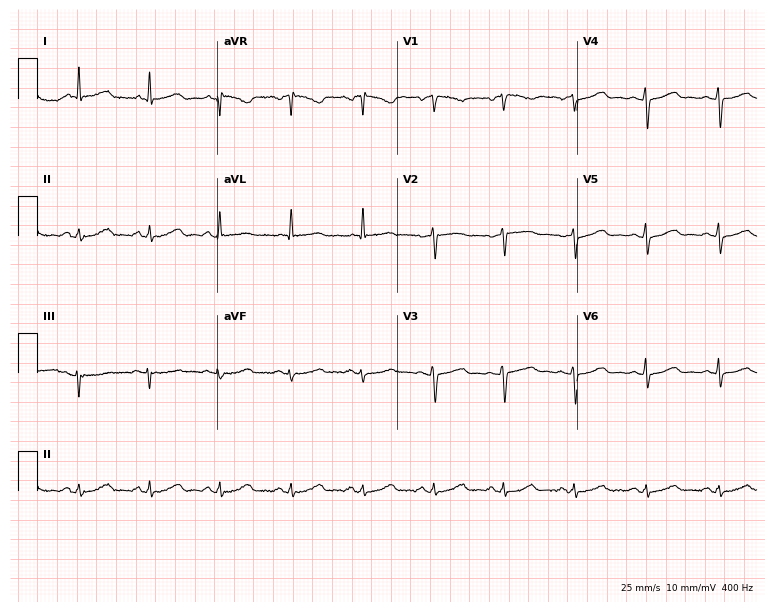
12-lead ECG from a female, 60 years old. Recorded interpretation: within normal limits.